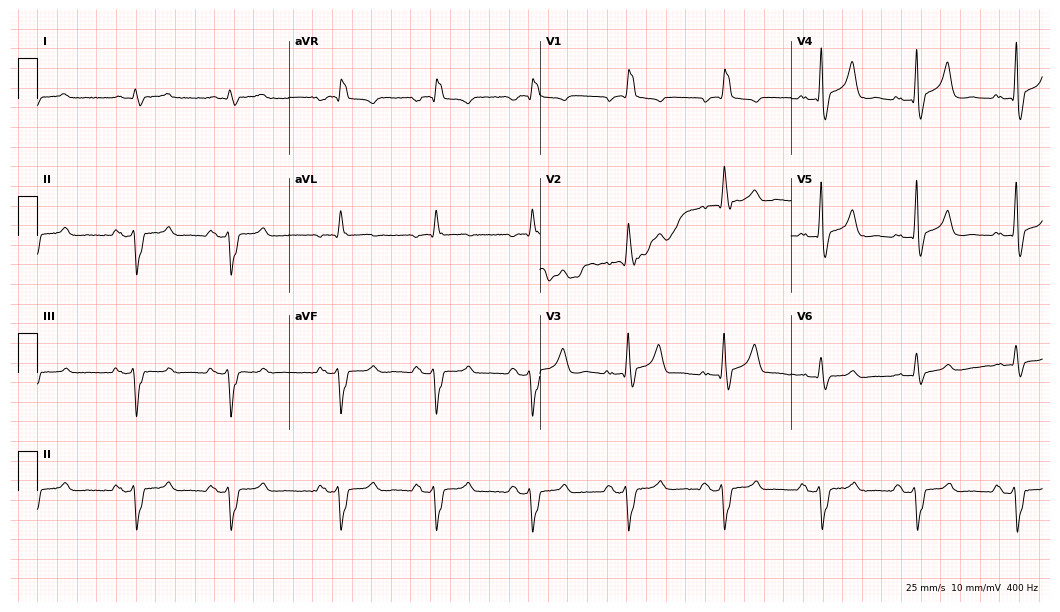
12-lead ECG from a 63-year-old man (10.2-second recording at 400 Hz). Shows right bundle branch block (RBBB).